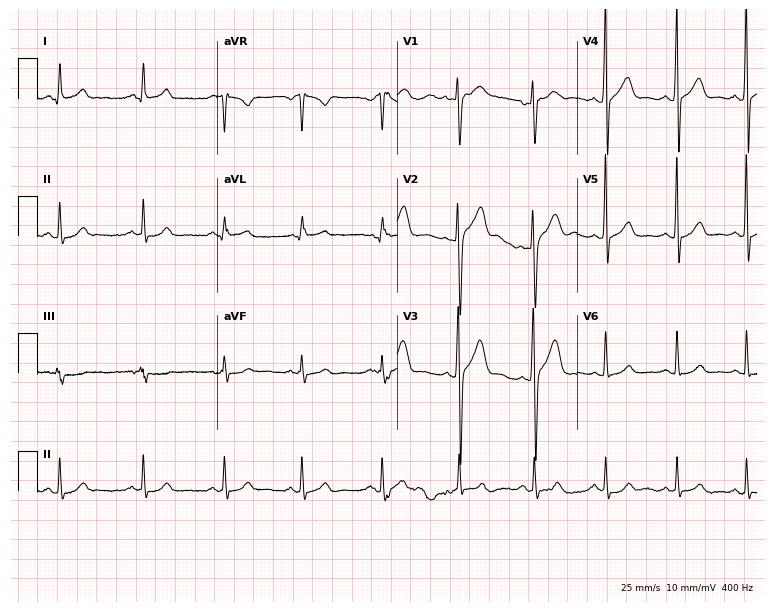
Electrocardiogram (7.3-second recording at 400 Hz), a male patient, 34 years old. Overall reading on record: normal ECG.